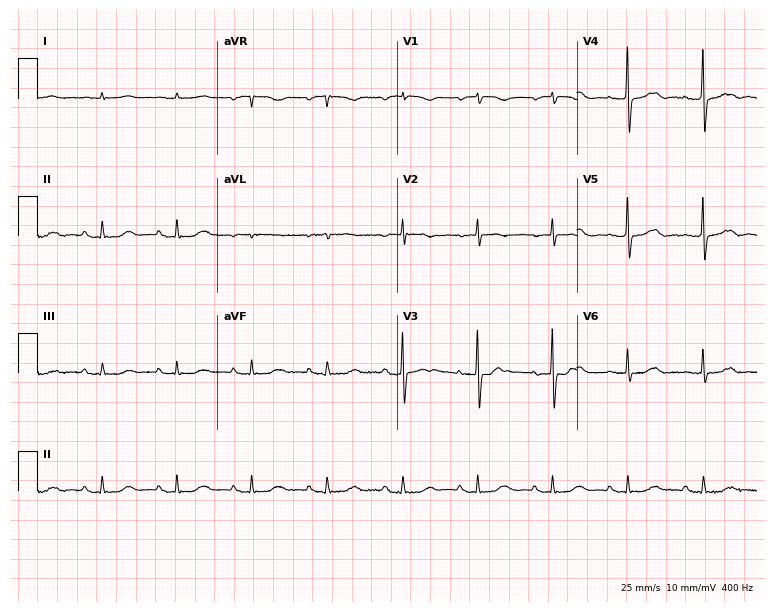
ECG (7.3-second recording at 400 Hz) — a male patient, 85 years old. Labelled as a normal ECG.